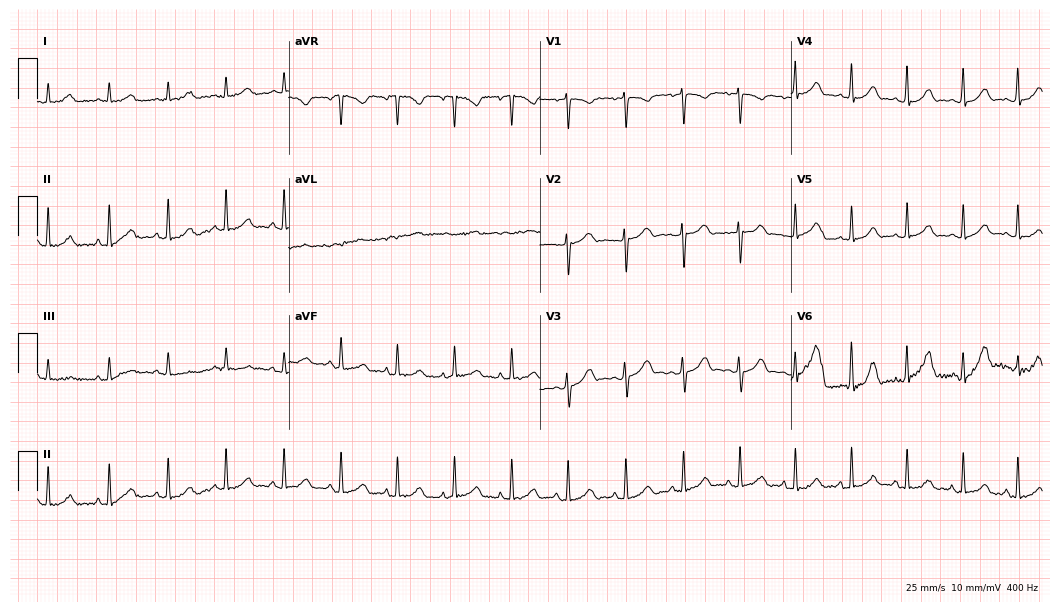
Resting 12-lead electrocardiogram (10.2-second recording at 400 Hz). Patient: an 18-year-old female. The tracing shows sinus tachycardia (a sinus rate of 100 beats per minute or more).